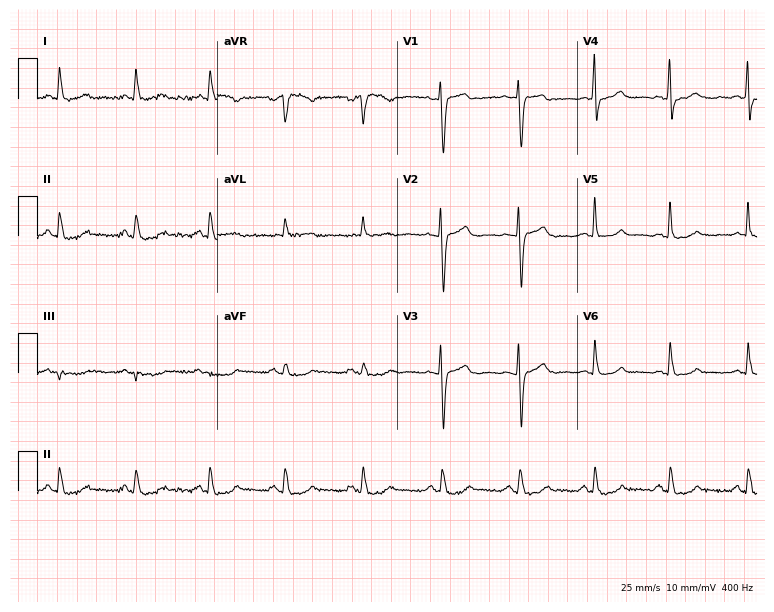
12-lead ECG from a 48-year-old female. Recorded interpretation: within normal limits.